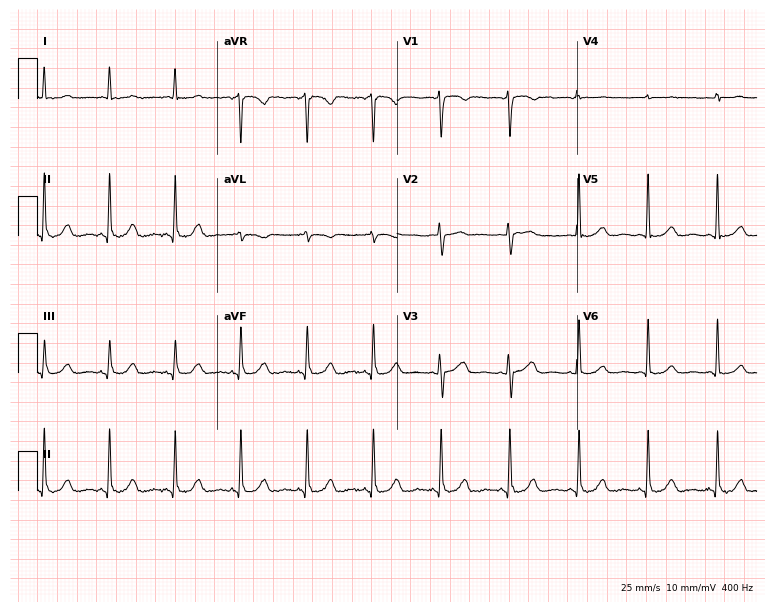
Standard 12-lead ECG recorded from a 55-year-old woman (7.3-second recording at 400 Hz). None of these six findings is recorded: first-degree AV block, right bundle branch block, left bundle branch block, sinus bradycardia, atrial fibrillation, sinus tachycardia. Findings outside these six are not listed.